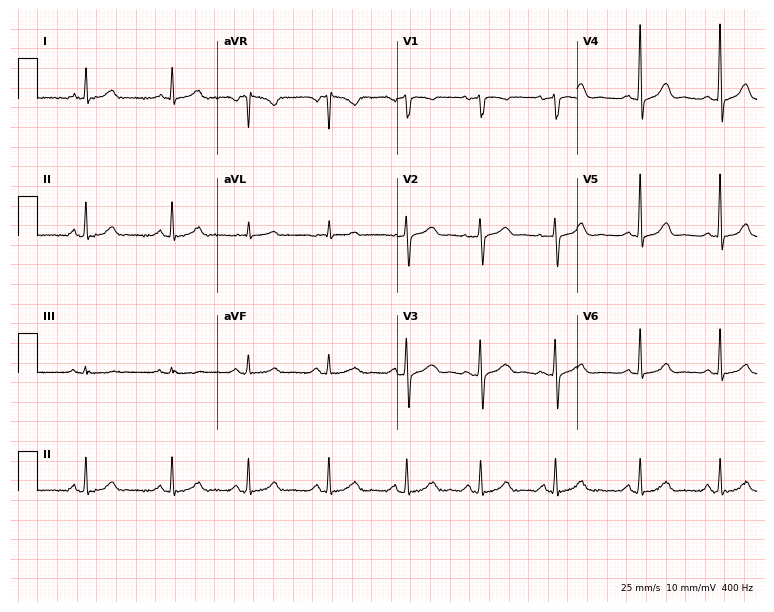
Electrocardiogram (7.3-second recording at 400 Hz), a 67-year-old female. Overall reading on record: normal ECG.